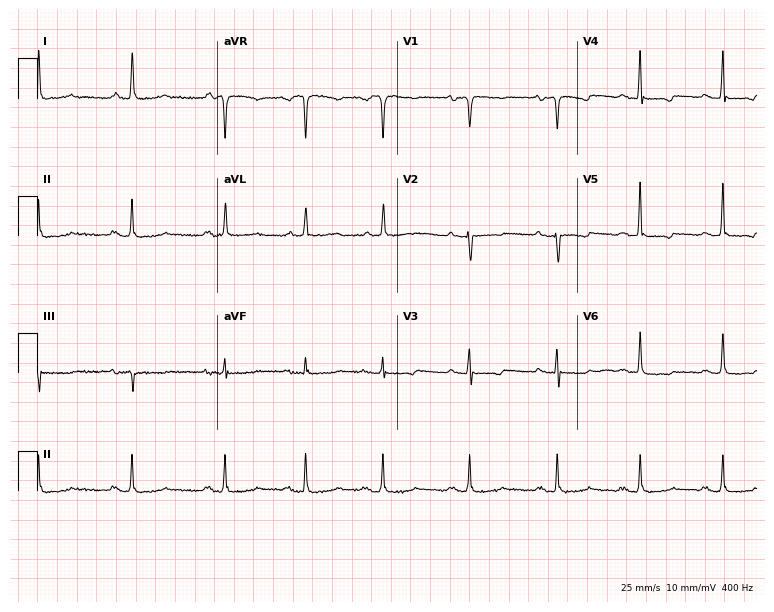
12-lead ECG (7.3-second recording at 400 Hz) from a female patient, 71 years old. Screened for six findings — first-degree AV block, right bundle branch block, left bundle branch block, sinus bradycardia, atrial fibrillation, sinus tachycardia — none is recorded. Findings outside these six are not listed.